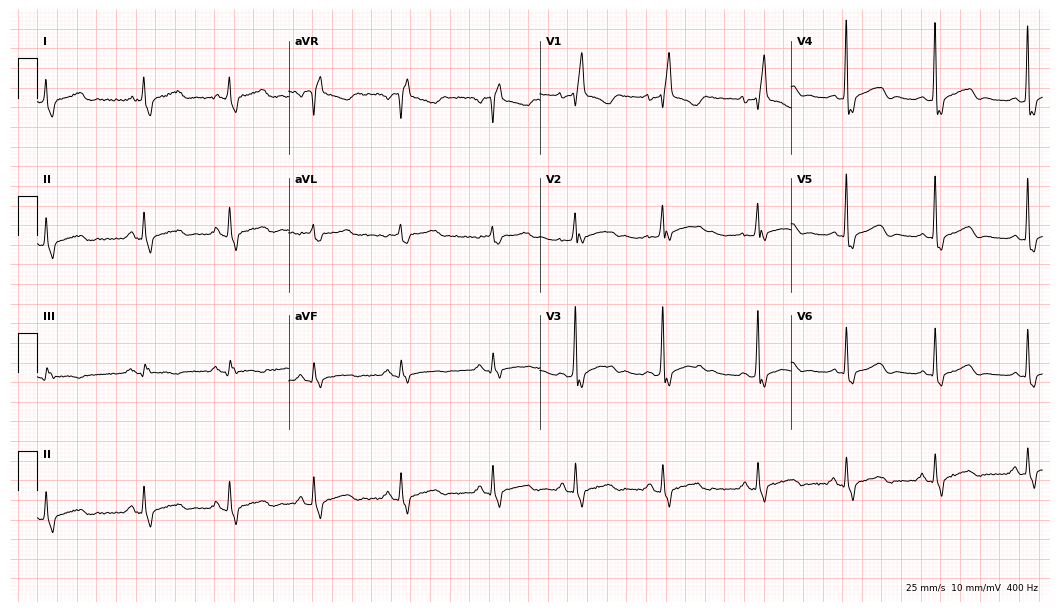
12-lead ECG (10.2-second recording at 400 Hz) from a woman, 56 years old. Findings include right bundle branch block.